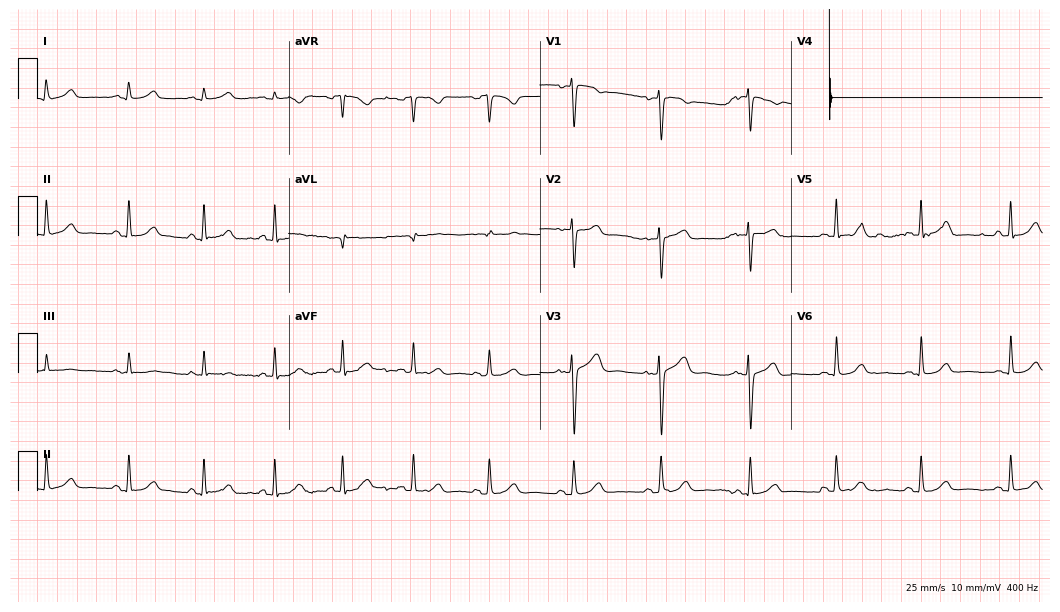
Electrocardiogram (10.2-second recording at 400 Hz), a 32-year-old female patient. Of the six screened findings (first-degree AV block, right bundle branch block (RBBB), left bundle branch block (LBBB), sinus bradycardia, atrial fibrillation (AF), sinus tachycardia), none is recorded.